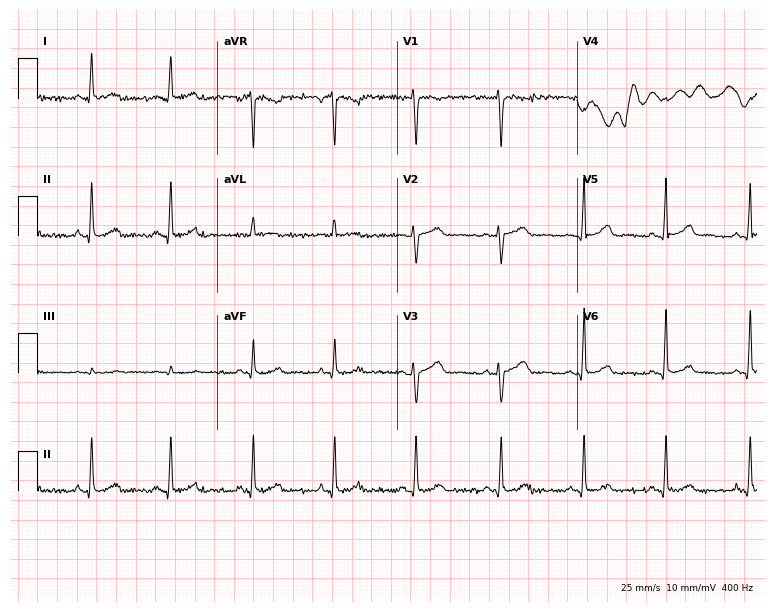
Resting 12-lead electrocardiogram. Patient: a female, 24 years old. Read as a normal ECG.